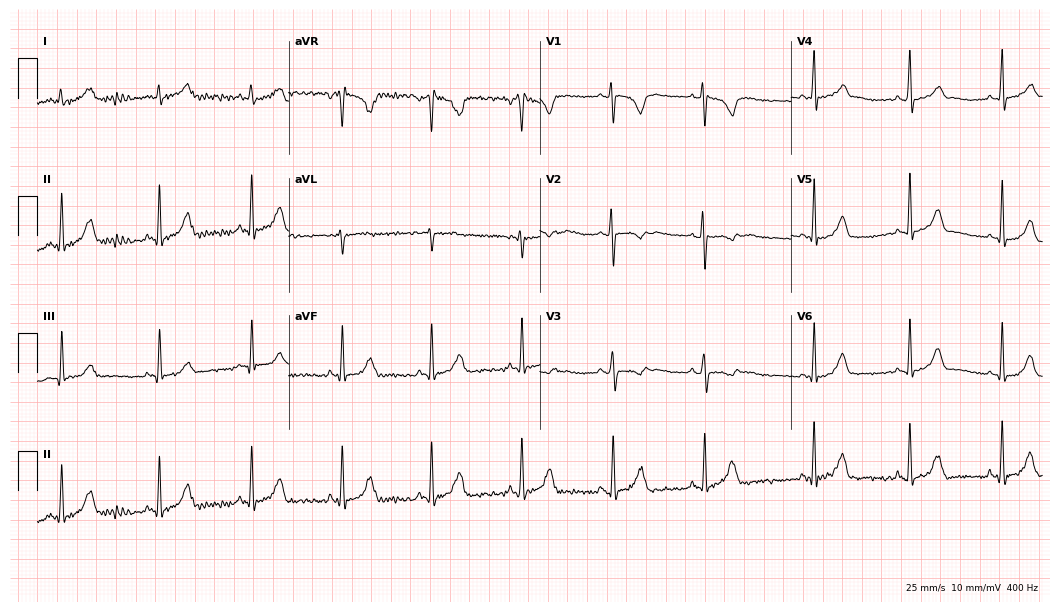
Standard 12-lead ECG recorded from a 17-year-old female patient (10.2-second recording at 400 Hz). None of these six findings is recorded: first-degree AV block, right bundle branch block, left bundle branch block, sinus bradycardia, atrial fibrillation, sinus tachycardia. Other findings, if any, are not listed.